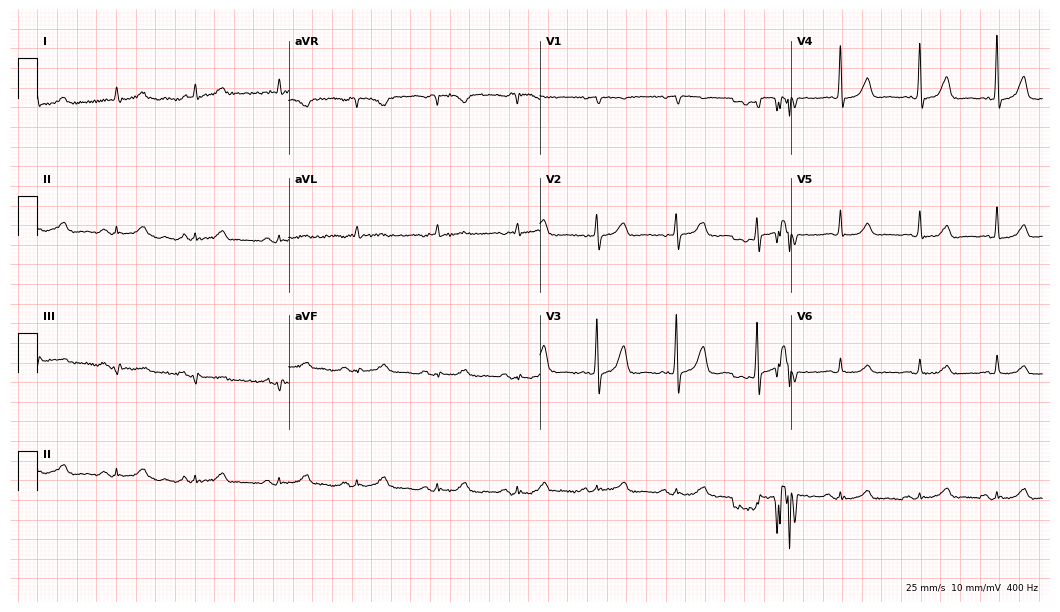
ECG (10.2-second recording at 400 Hz) — an 82-year-old woman. Labelled as a normal ECG.